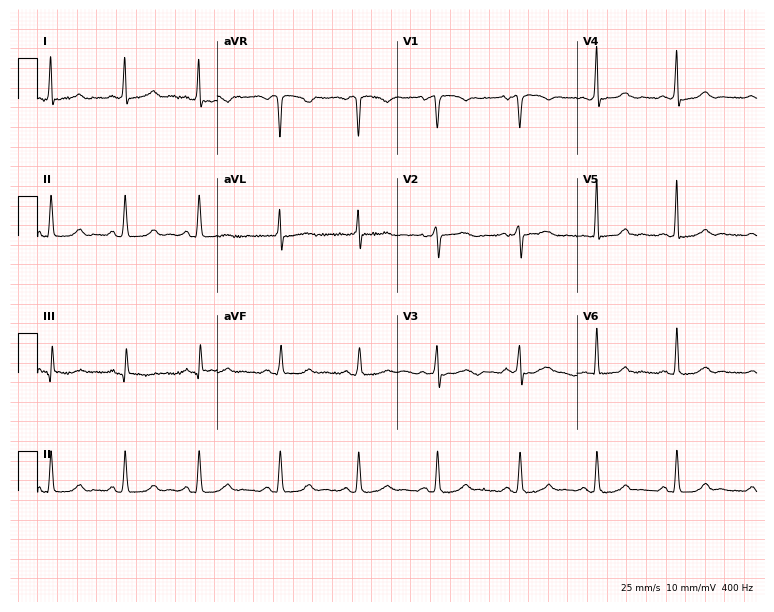
Standard 12-lead ECG recorded from a 36-year-old female. Read as a normal ECG.